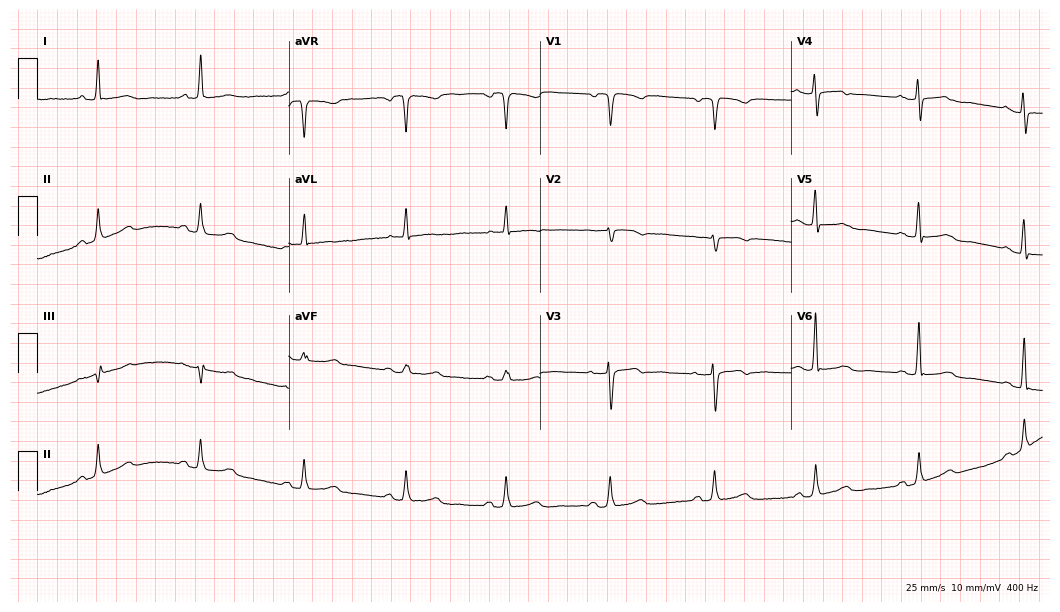
Resting 12-lead electrocardiogram. Patient: a female, 69 years old. None of these six findings is recorded: first-degree AV block, right bundle branch block, left bundle branch block, sinus bradycardia, atrial fibrillation, sinus tachycardia. Only these six findings were labelled.